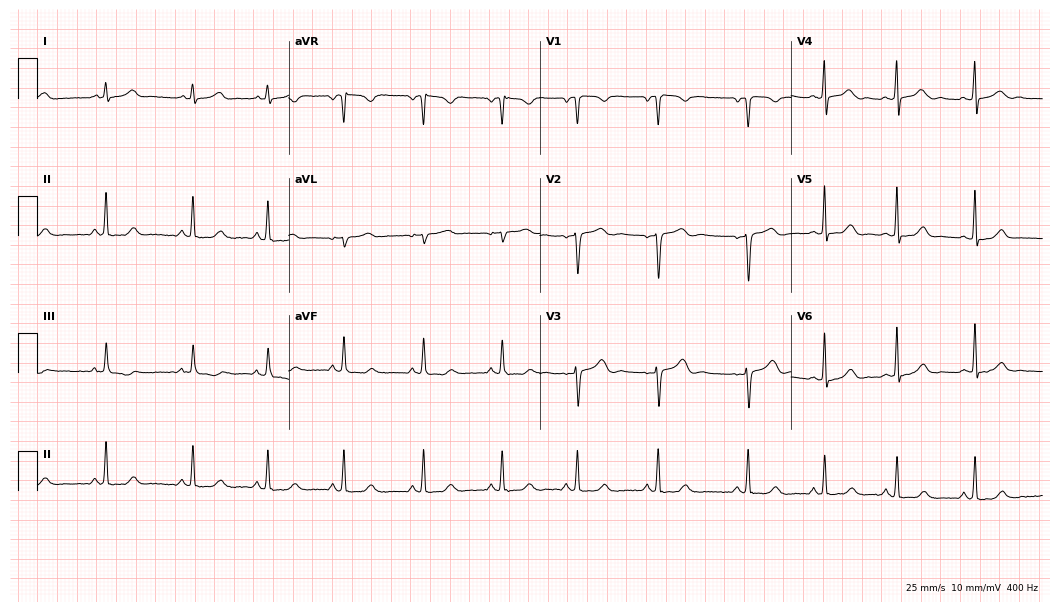
Resting 12-lead electrocardiogram. Patient: a female, 34 years old. None of these six findings is recorded: first-degree AV block, right bundle branch block, left bundle branch block, sinus bradycardia, atrial fibrillation, sinus tachycardia. Other findings, if any, are not listed.